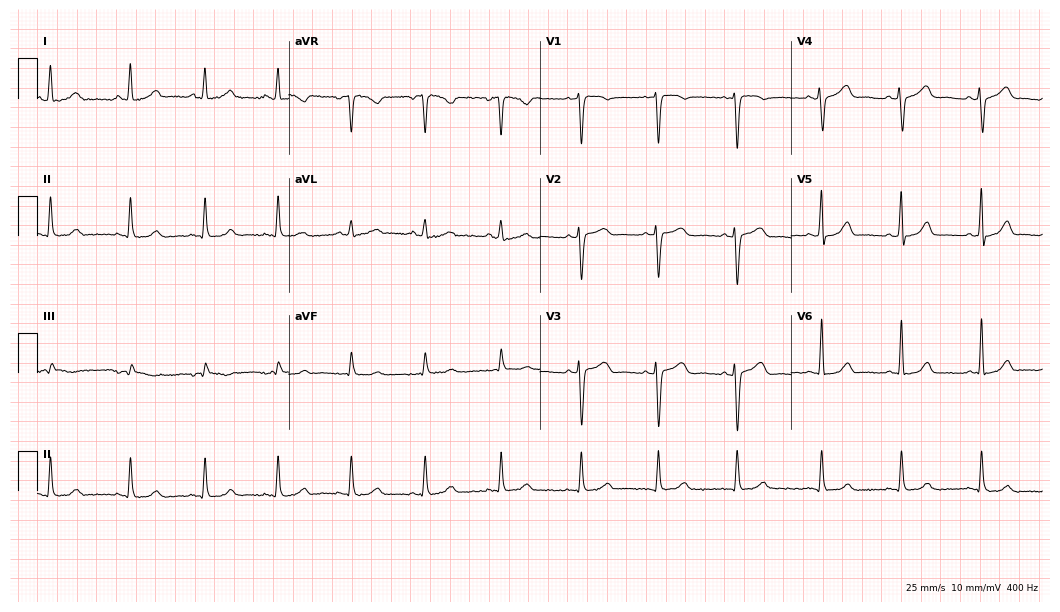
12-lead ECG from a female, 45 years old. Labelled as a normal ECG.